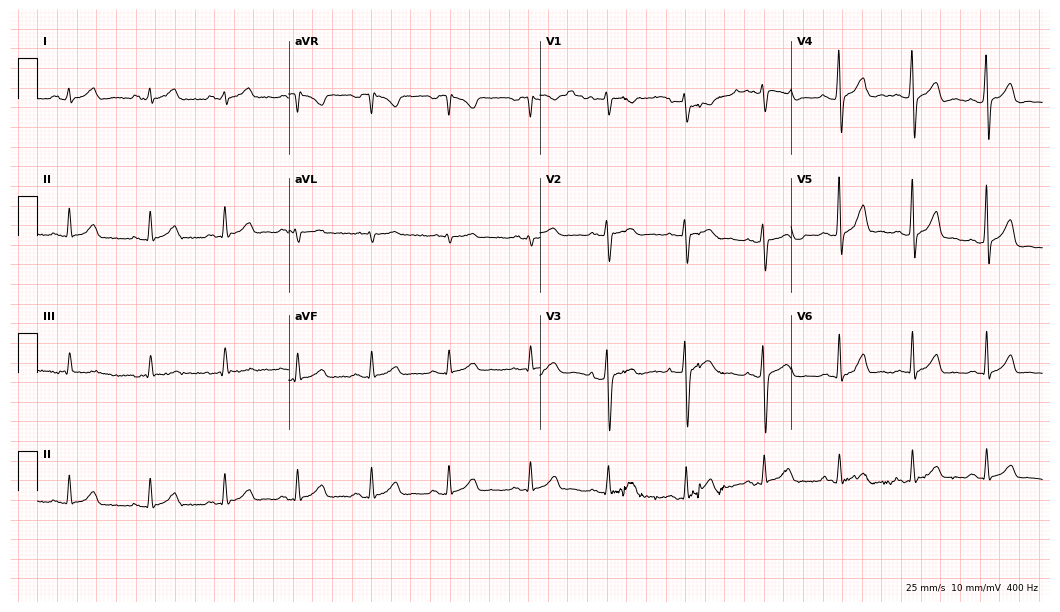
12-lead ECG from a man, 34 years old. Recorded interpretation: within normal limits.